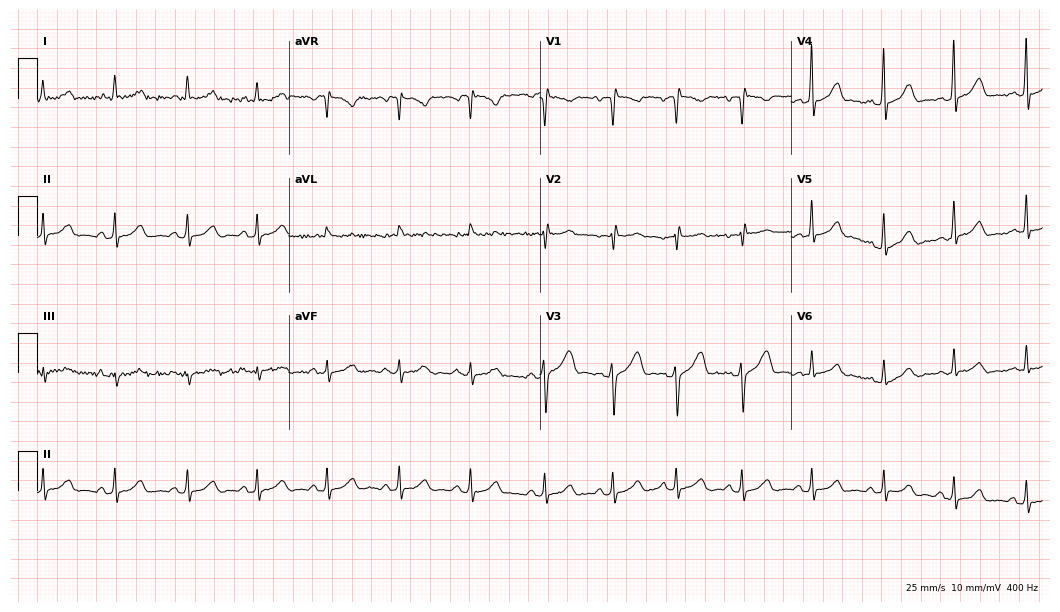
12-lead ECG from a female patient, 31 years old (10.2-second recording at 400 Hz). No first-degree AV block, right bundle branch block (RBBB), left bundle branch block (LBBB), sinus bradycardia, atrial fibrillation (AF) or sinus tachycardia recorded for this tracing.